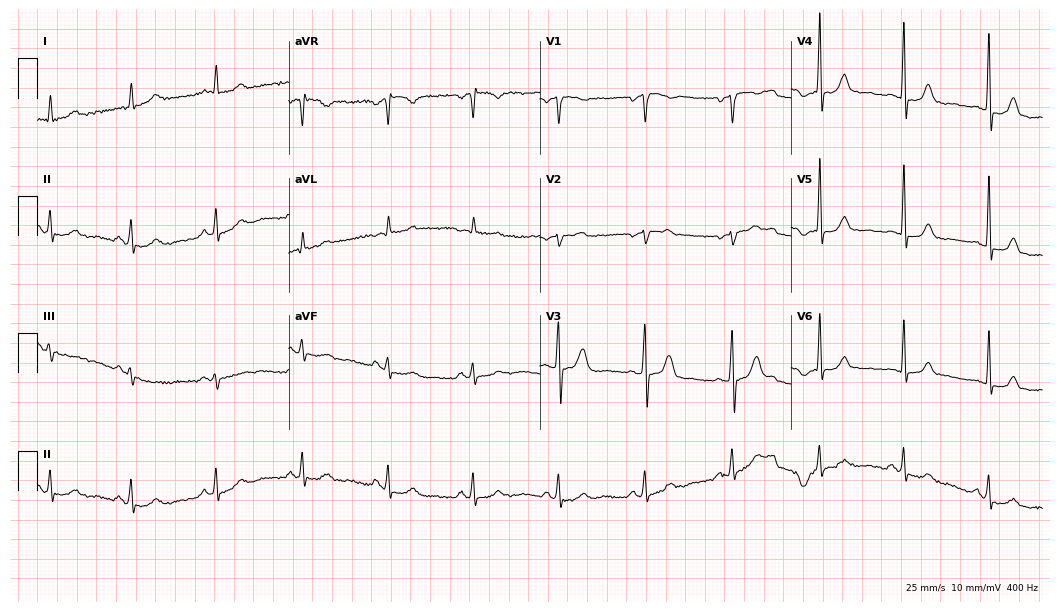
12-lead ECG from a man, 55 years old. Labelled as a normal ECG.